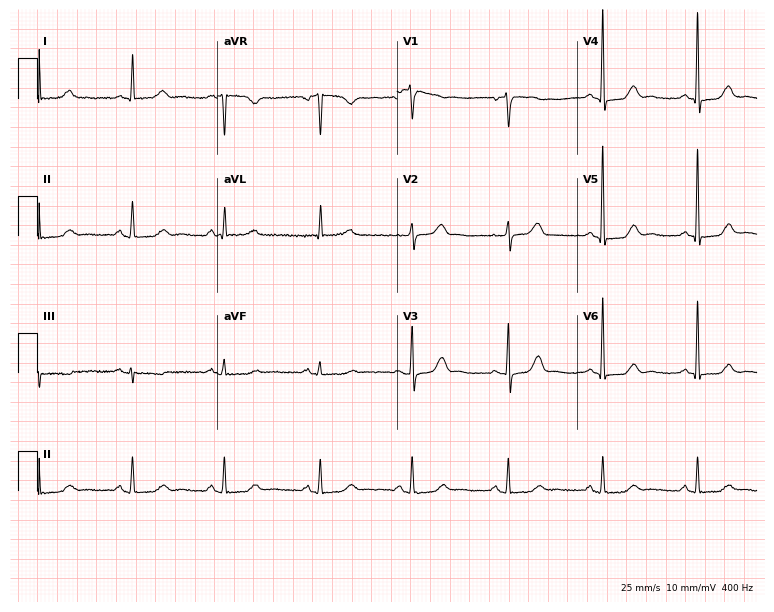
Standard 12-lead ECG recorded from a female, 66 years old. Read as a normal ECG.